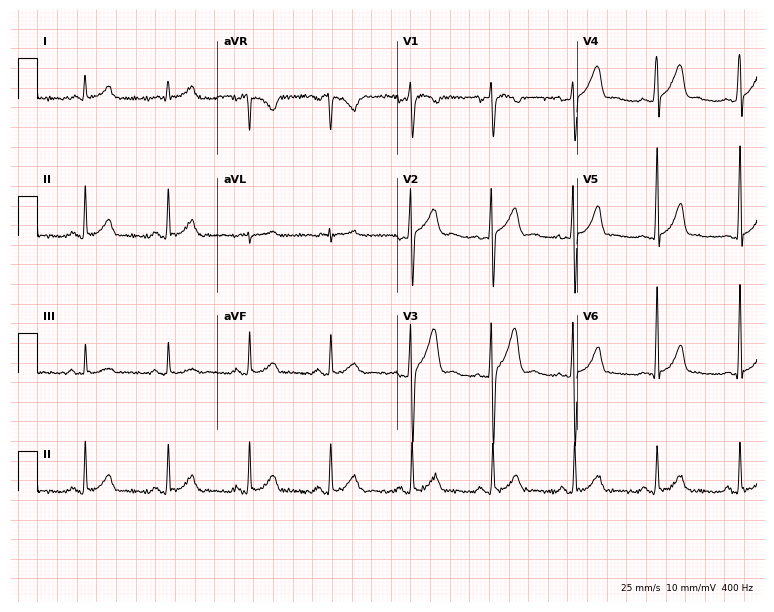
Electrocardiogram (7.3-second recording at 400 Hz), a 36-year-old male. Overall reading on record: normal ECG.